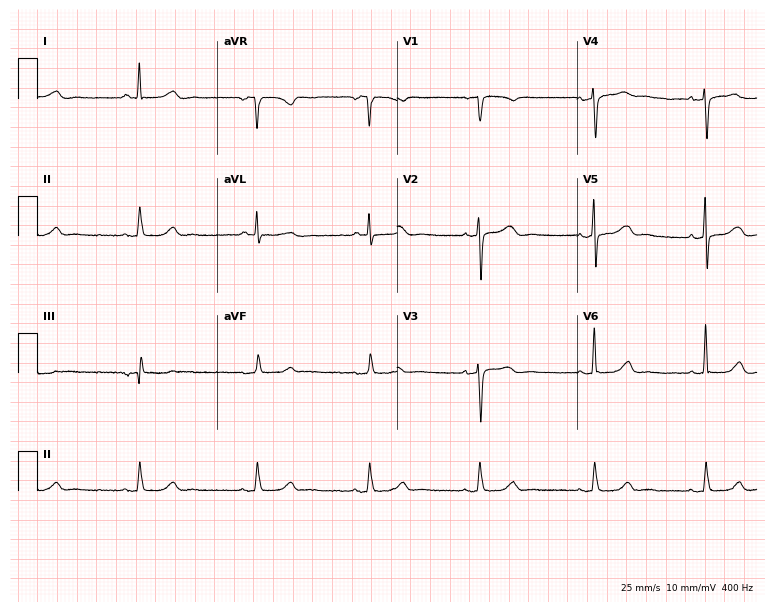
12-lead ECG from a female, 44 years old. Screened for six findings — first-degree AV block, right bundle branch block, left bundle branch block, sinus bradycardia, atrial fibrillation, sinus tachycardia — none is recorded. Findings outside these six are not listed.